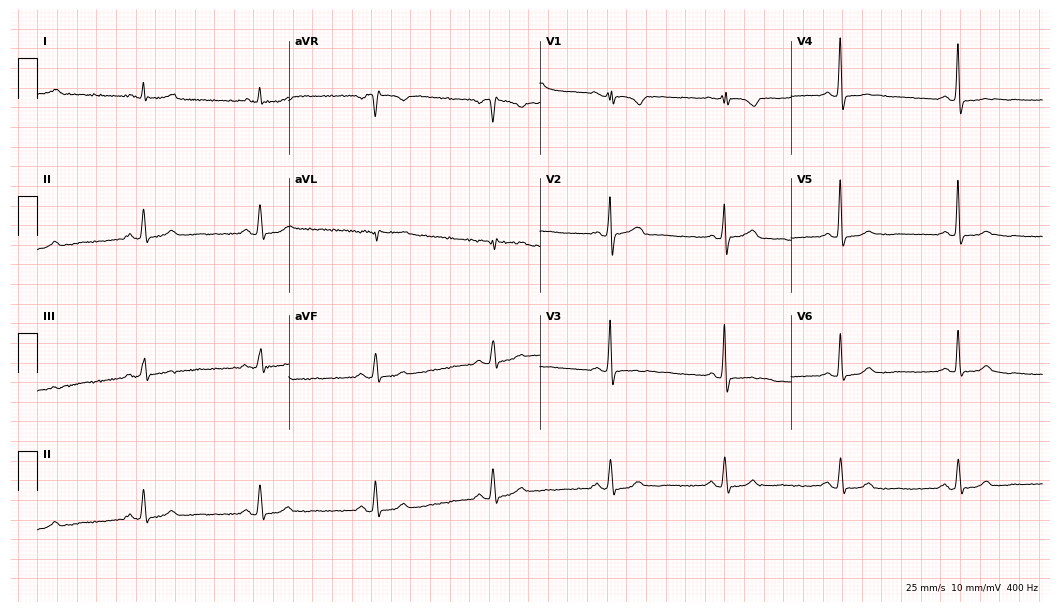
Resting 12-lead electrocardiogram (10.2-second recording at 400 Hz). Patient: a 62-year-old woman. None of these six findings is recorded: first-degree AV block, right bundle branch block, left bundle branch block, sinus bradycardia, atrial fibrillation, sinus tachycardia. Findings outside these six are not listed.